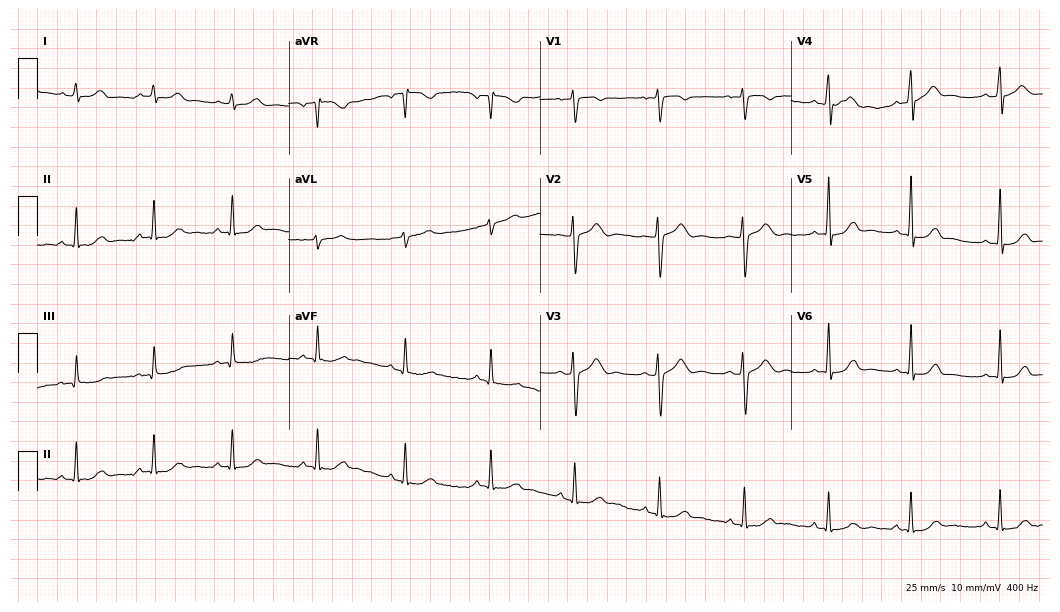
Electrocardiogram (10.2-second recording at 400 Hz), a 38-year-old female patient. Overall reading on record: normal ECG.